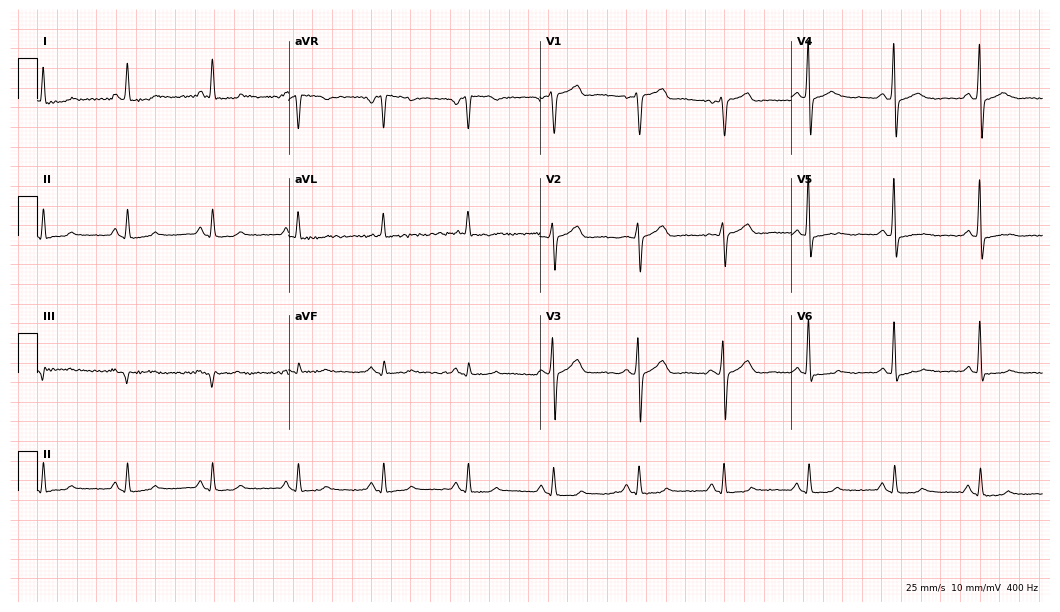
12-lead ECG from a 55-year-old male patient. Labelled as a normal ECG.